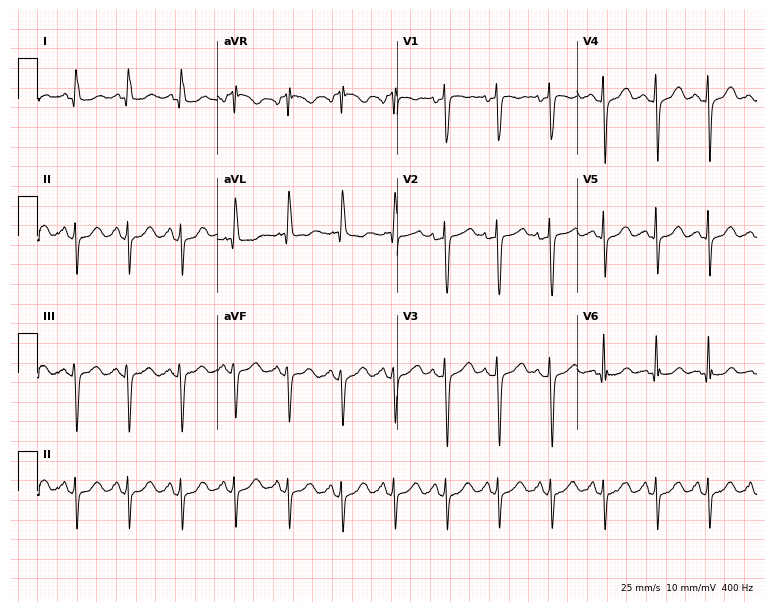
Electrocardiogram, a female, 61 years old. Interpretation includes sinus tachycardia (a sinus rate of 100 beats per minute or more).